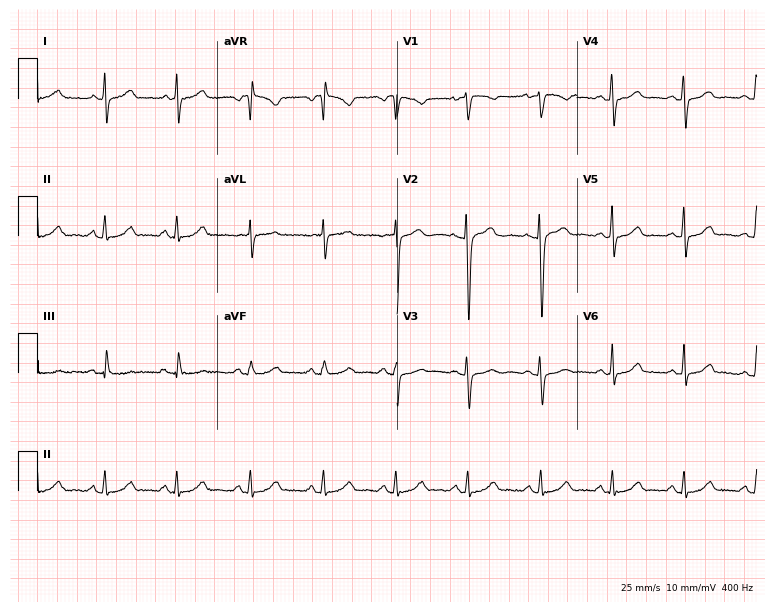
12-lead ECG from a 29-year-old female. Labelled as a normal ECG.